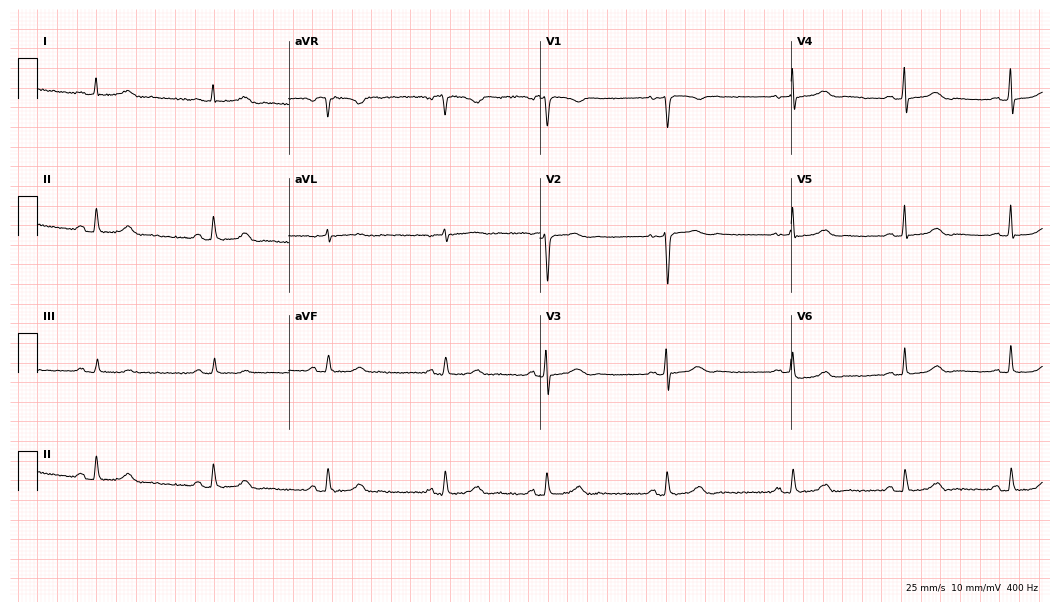
Resting 12-lead electrocardiogram. Patient: a female, 42 years old. None of these six findings is recorded: first-degree AV block, right bundle branch block, left bundle branch block, sinus bradycardia, atrial fibrillation, sinus tachycardia. Only these six findings were labelled.